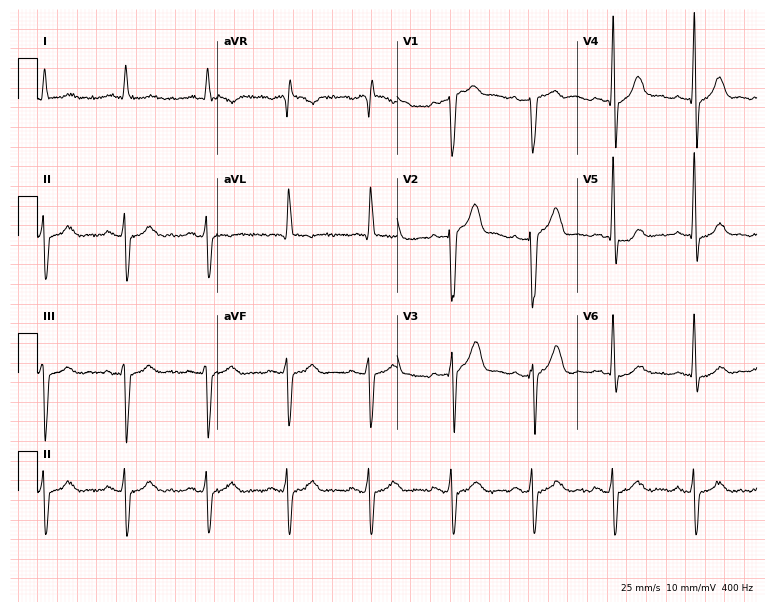
Resting 12-lead electrocardiogram. Patient: a male, 80 years old. None of these six findings is recorded: first-degree AV block, right bundle branch block, left bundle branch block, sinus bradycardia, atrial fibrillation, sinus tachycardia.